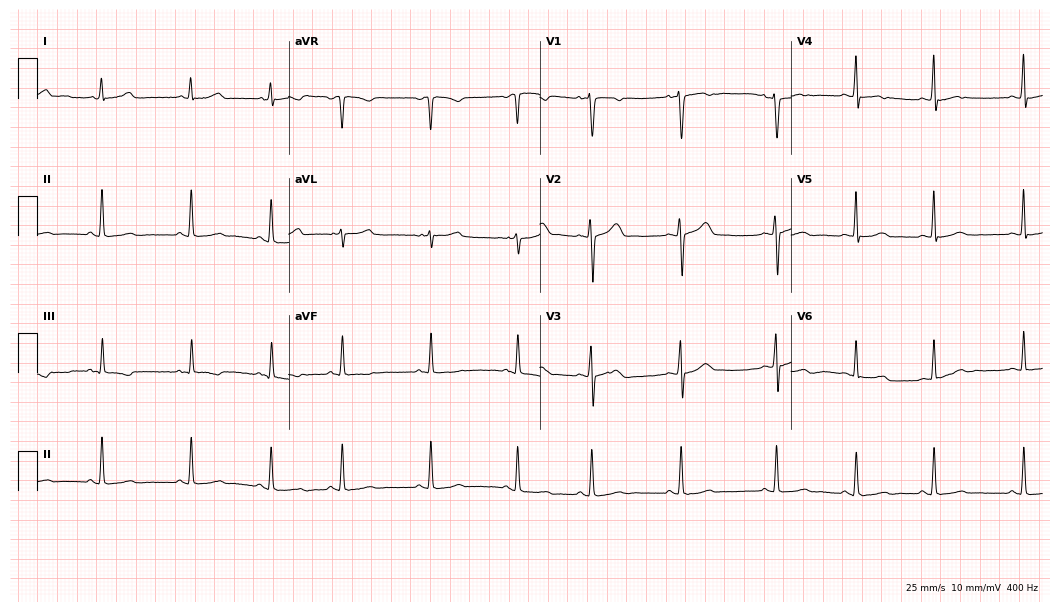
12-lead ECG from a woman, 17 years old. Labelled as a normal ECG.